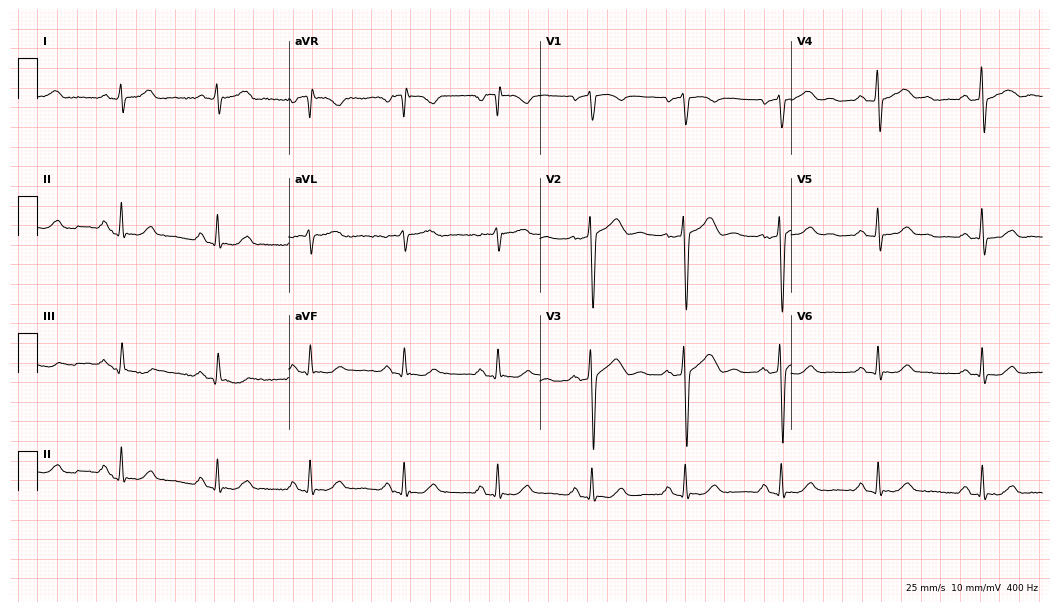
Electrocardiogram (10.2-second recording at 400 Hz), a male, 56 years old. Of the six screened findings (first-degree AV block, right bundle branch block, left bundle branch block, sinus bradycardia, atrial fibrillation, sinus tachycardia), none is recorded.